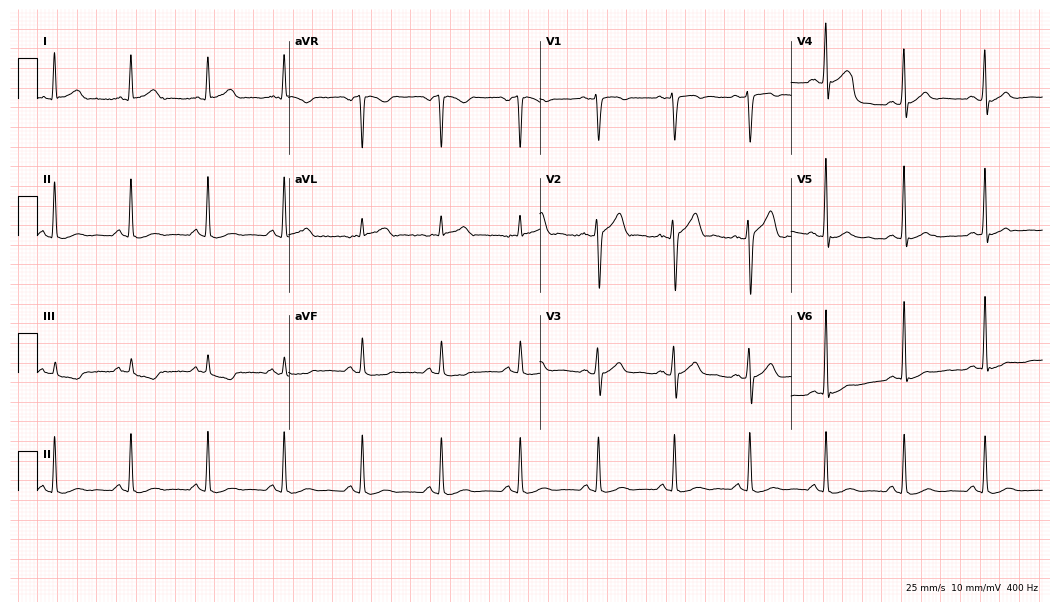
12-lead ECG (10.2-second recording at 400 Hz) from a male, 38 years old. Labelled as a normal ECG.